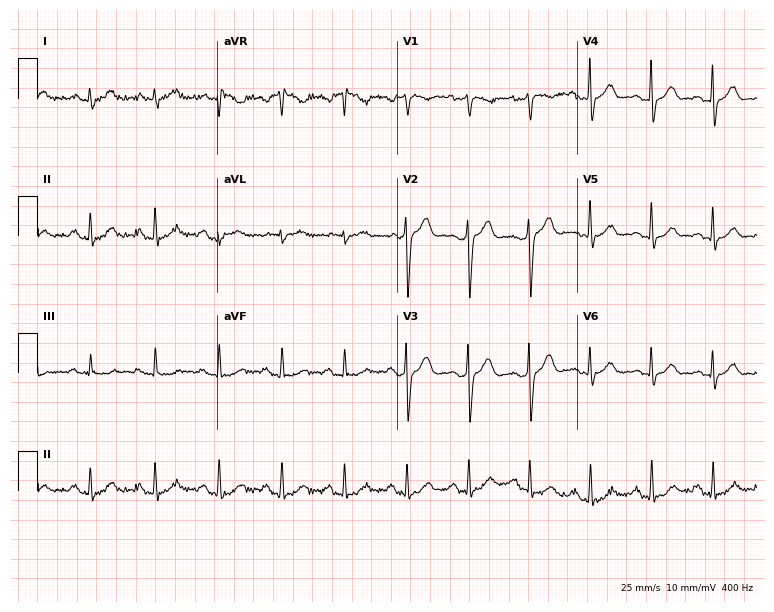
Standard 12-lead ECG recorded from a 55-year-old man. None of these six findings is recorded: first-degree AV block, right bundle branch block (RBBB), left bundle branch block (LBBB), sinus bradycardia, atrial fibrillation (AF), sinus tachycardia. Only these six findings were labelled.